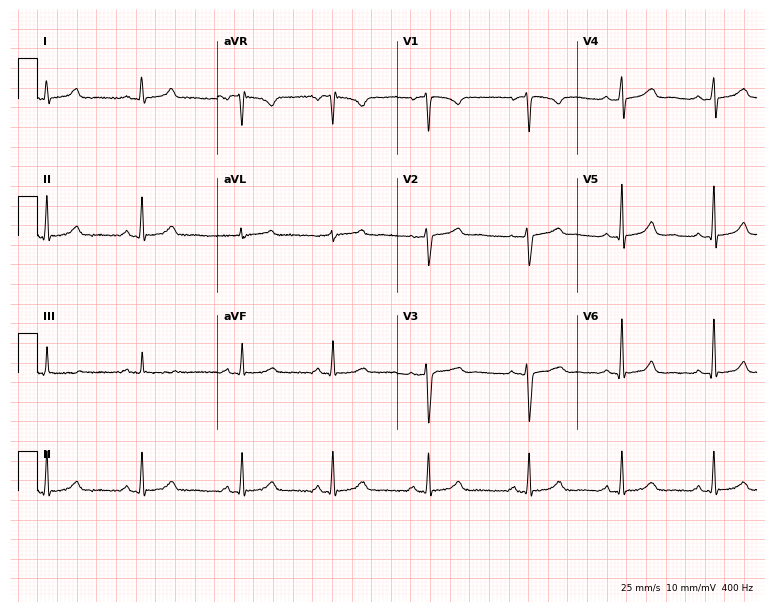
Electrocardiogram (7.3-second recording at 400 Hz), a 41-year-old woman. Overall reading on record: normal ECG.